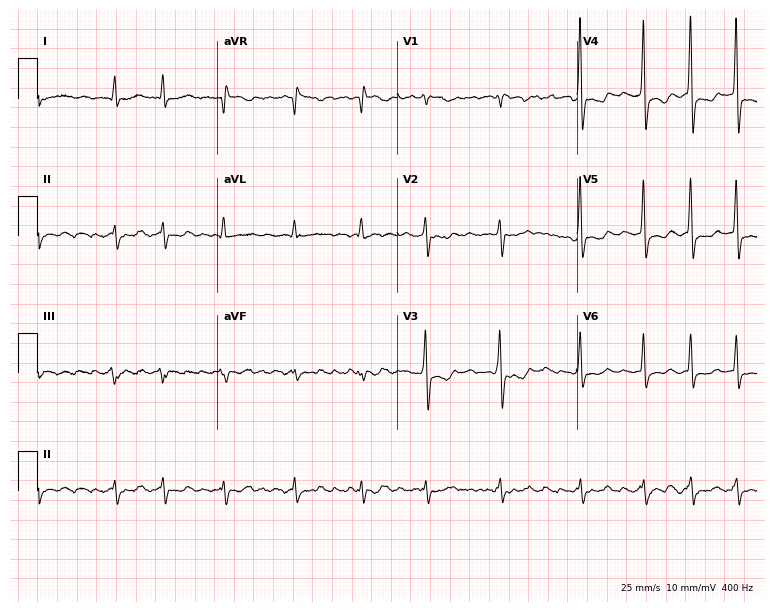
Standard 12-lead ECG recorded from a 74-year-old man (7.3-second recording at 400 Hz). The tracing shows atrial fibrillation.